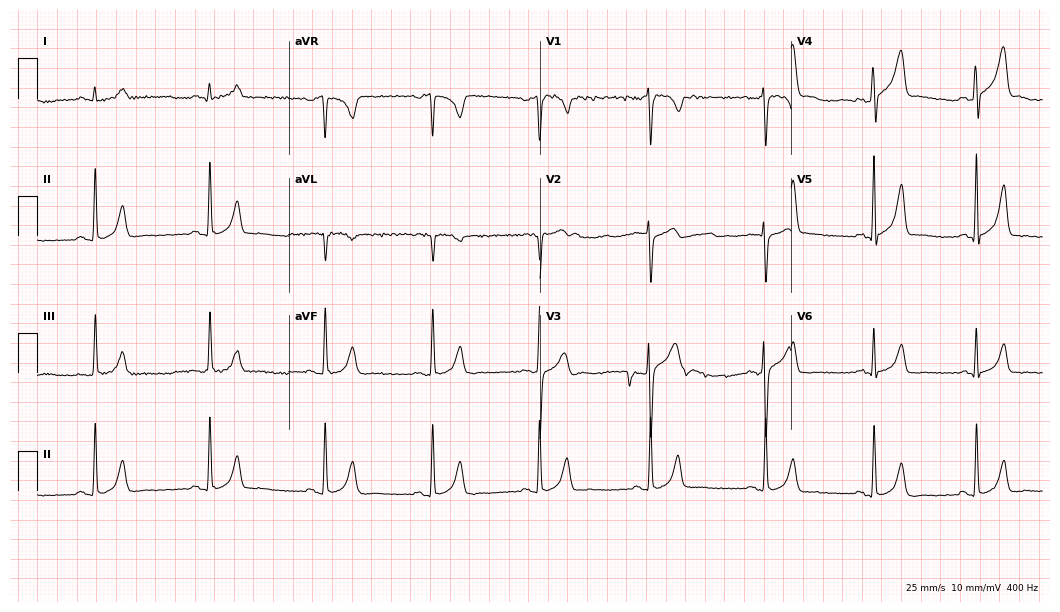
Resting 12-lead electrocardiogram. Patient: a 47-year-old male. None of these six findings is recorded: first-degree AV block, right bundle branch block (RBBB), left bundle branch block (LBBB), sinus bradycardia, atrial fibrillation (AF), sinus tachycardia. Other findings, if any, are not listed.